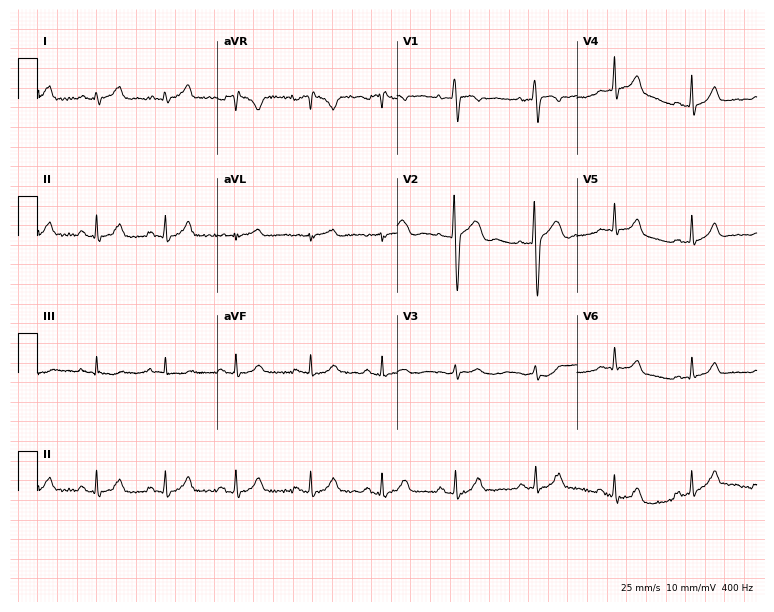
Standard 12-lead ECG recorded from a woman, 20 years old (7.3-second recording at 400 Hz). Read as a normal ECG.